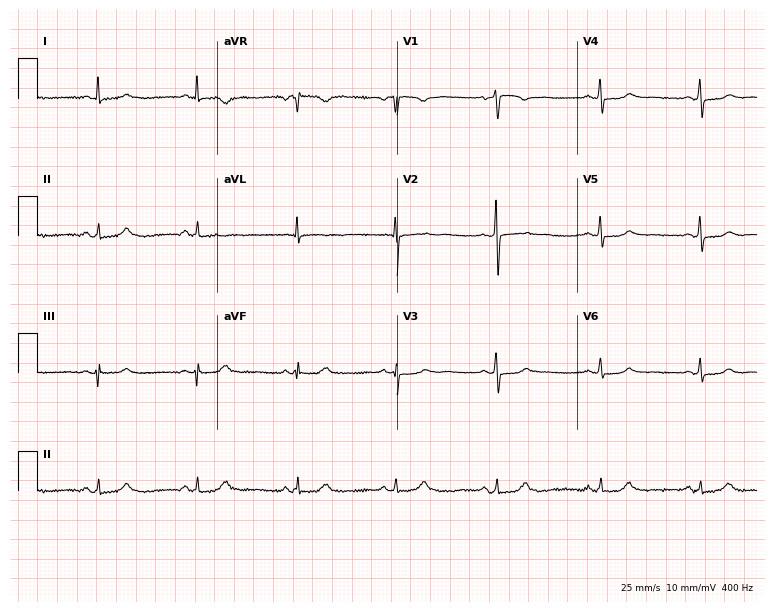
12-lead ECG from a 58-year-old female patient. No first-degree AV block, right bundle branch block, left bundle branch block, sinus bradycardia, atrial fibrillation or sinus tachycardia recorded for this tracing.